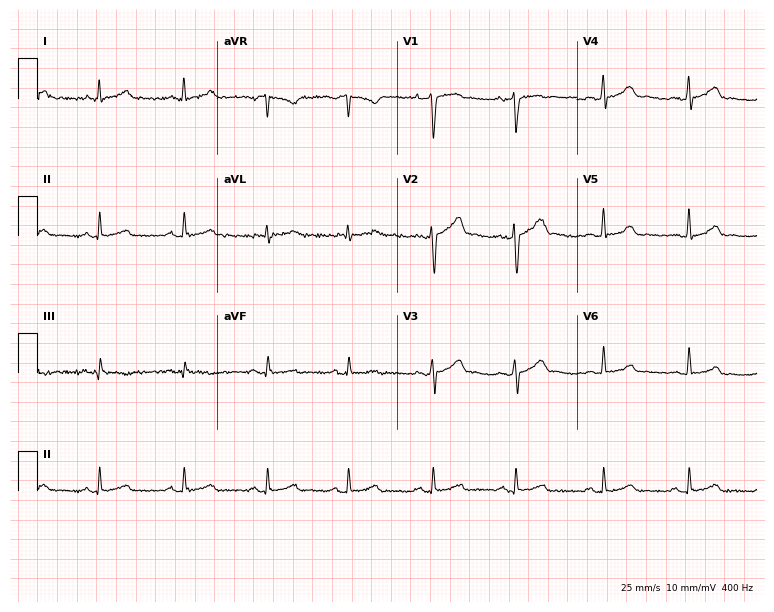
12-lead ECG from a 34-year-old male (7.3-second recording at 400 Hz). Recorded interpretation: within normal limits.